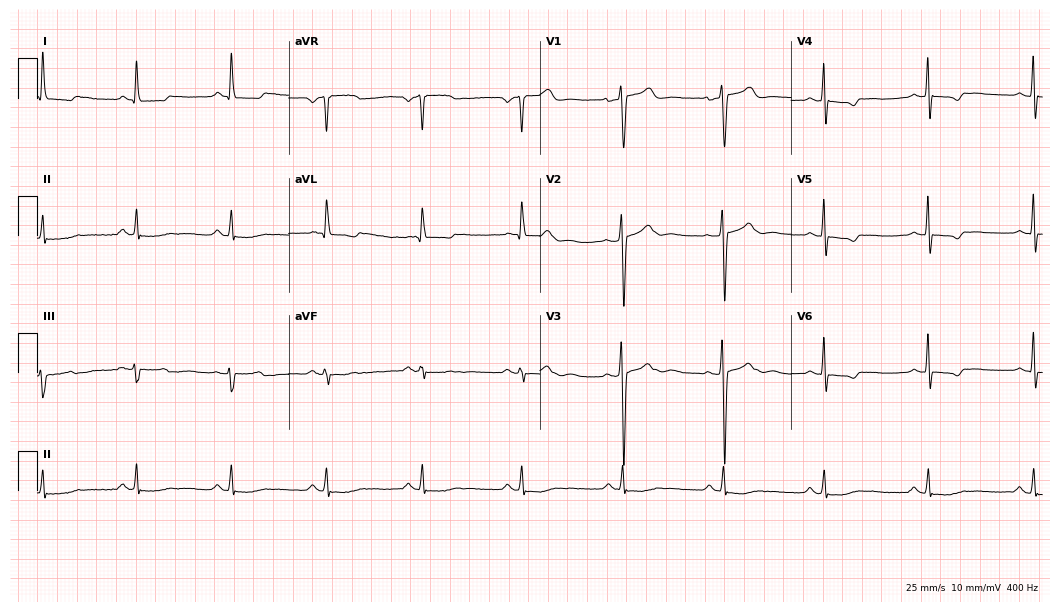
Electrocardiogram, a male, 53 years old. Of the six screened findings (first-degree AV block, right bundle branch block, left bundle branch block, sinus bradycardia, atrial fibrillation, sinus tachycardia), none is recorded.